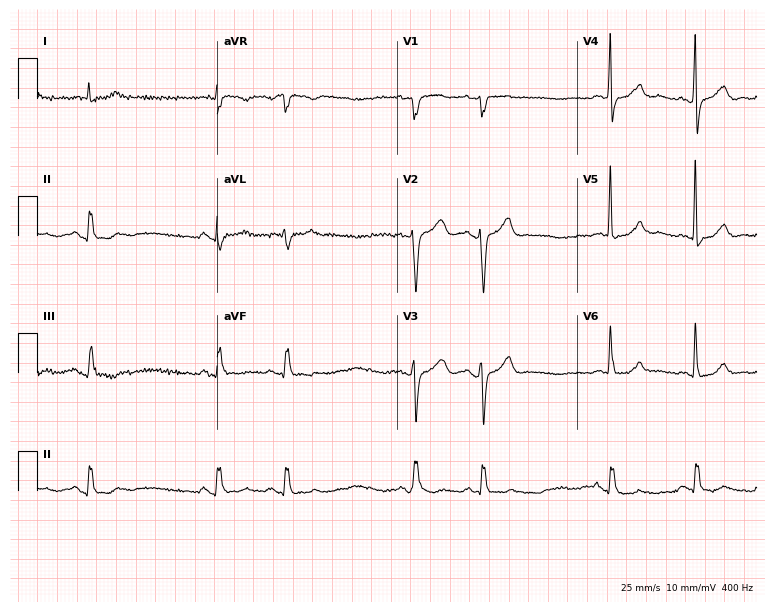
Standard 12-lead ECG recorded from a male patient, 80 years old (7.3-second recording at 400 Hz). None of these six findings is recorded: first-degree AV block, right bundle branch block (RBBB), left bundle branch block (LBBB), sinus bradycardia, atrial fibrillation (AF), sinus tachycardia.